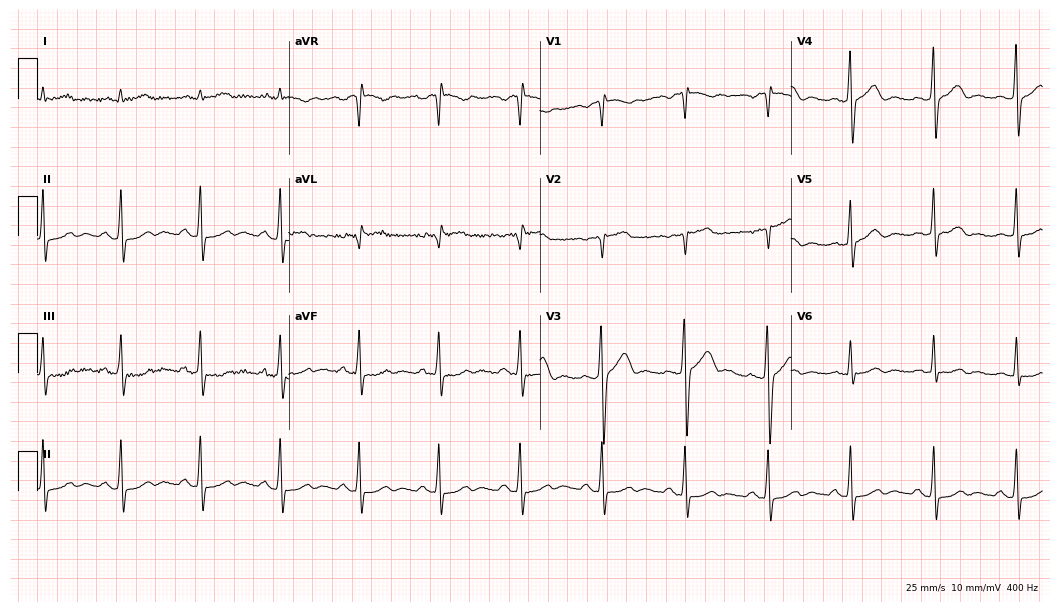
Resting 12-lead electrocardiogram. Patient: a 57-year-old male. None of these six findings is recorded: first-degree AV block, right bundle branch block, left bundle branch block, sinus bradycardia, atrial fibrillation, sinus tachycardia. Only these six findings were labelled.